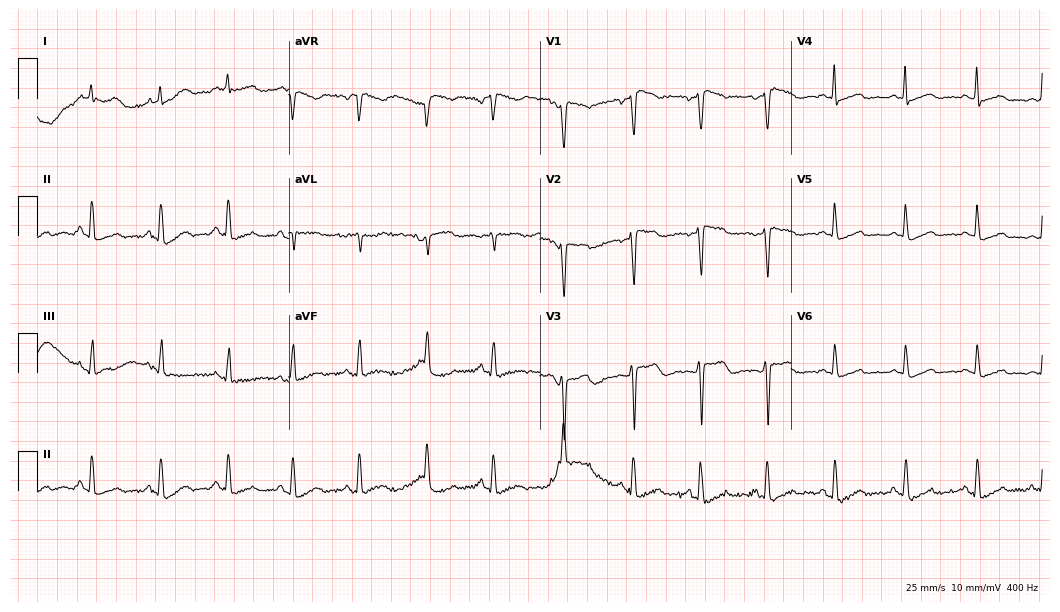
Standard 12-lead ECG recorded from a 57-year-old female patient. Read as a normal ECG.